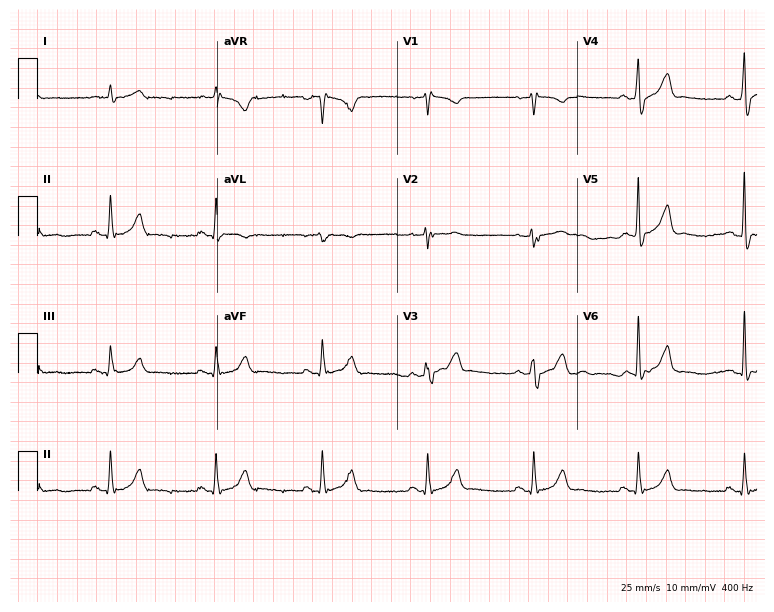
Standard 12-lead ECG recorded from a man, 76 years old (7.3-second recording at 400 Hz). Read as a normal ECG.